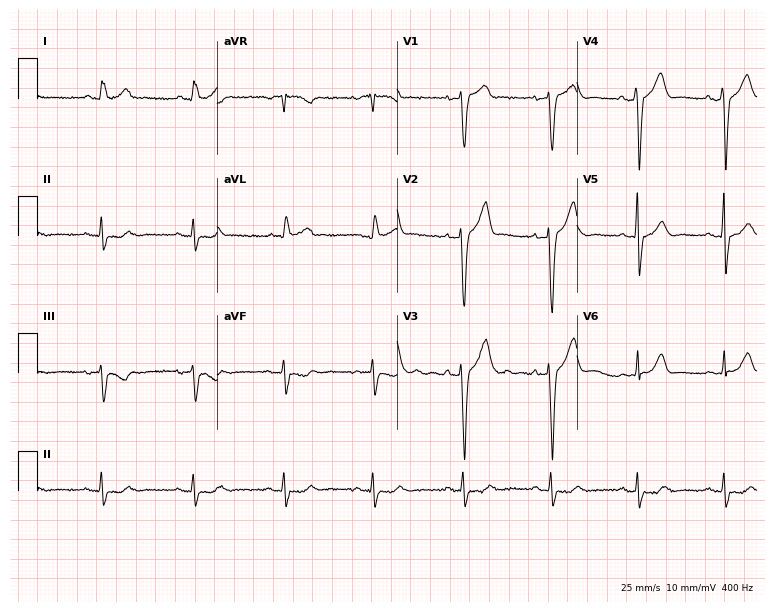
12-lead ECG from a 61-year-old male. No first-degree AV block, right bundle branch block (RBBB), left bundle branch block (LBBB), sinus bradycardia, atrial fibrillation (AF) or sinus tachycardia recorded for this tracing.